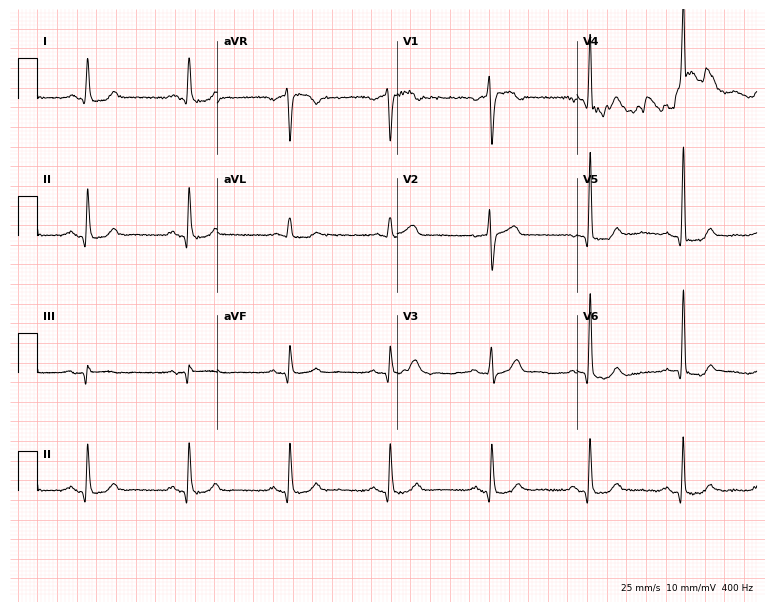
12-lead ECG from a 65-year-old male. Labelled as a normal ECG.